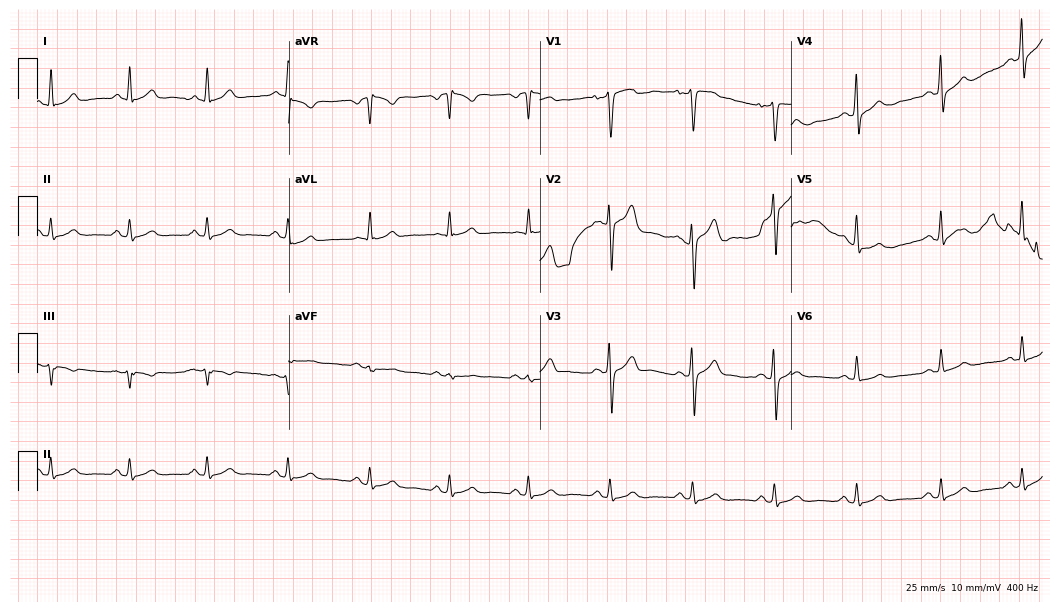
ECG — a 45-year-old female patient. Labelled as a normal ECG.